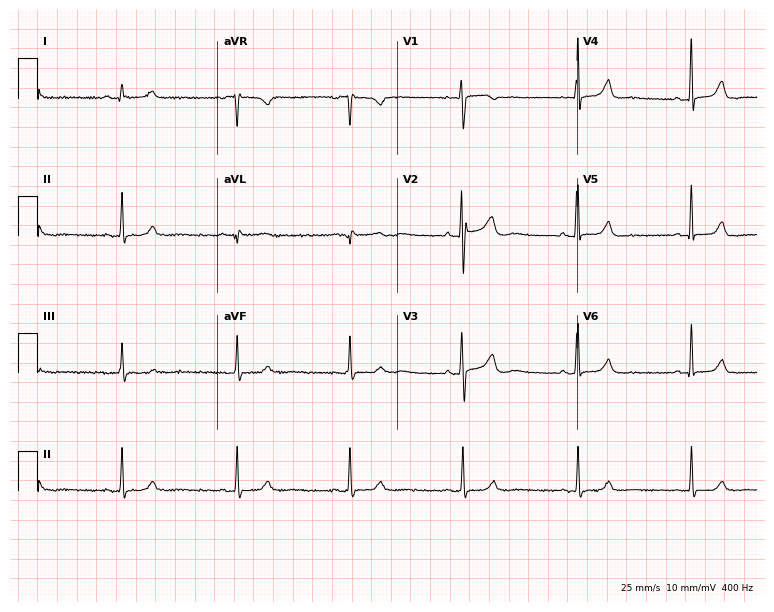
12-lead ECG from a 49-year-old woman (7.3-second recording at 400 Hz). Recorded interpretation: within normal limits.